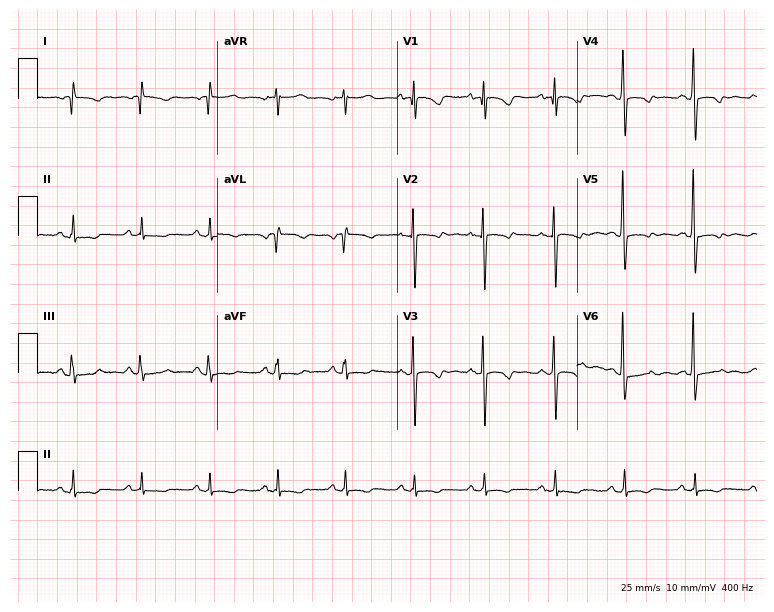
Resting 12-lead electrocardiogram (7.3-second recording at 400 Hz). Patient: a woman, 72 years old. None of these six findings is recorded: first-degree AV block, right bundle branch block, left bundle branch block, sinus bradycardia, atrial fibrillation, sinus tachycardia. Findings outside these six are not listed.